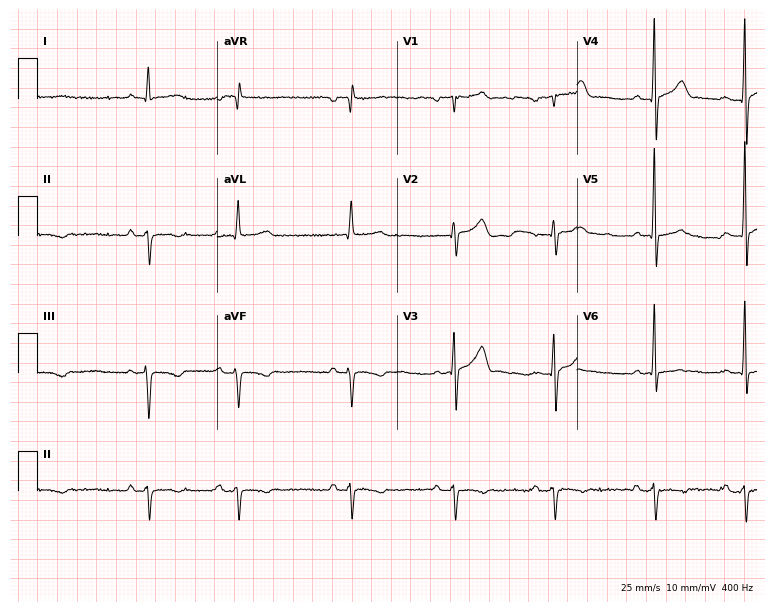
12-lead ECG (7.3-second recording at 400 Hz) from a 64-year-old male. Screened for six findings — first-degree AV block, right bundle branch block, left bundle branch block, sinus bradycardia, atrial fibrillation, sinus tachycardia — none is recorded.